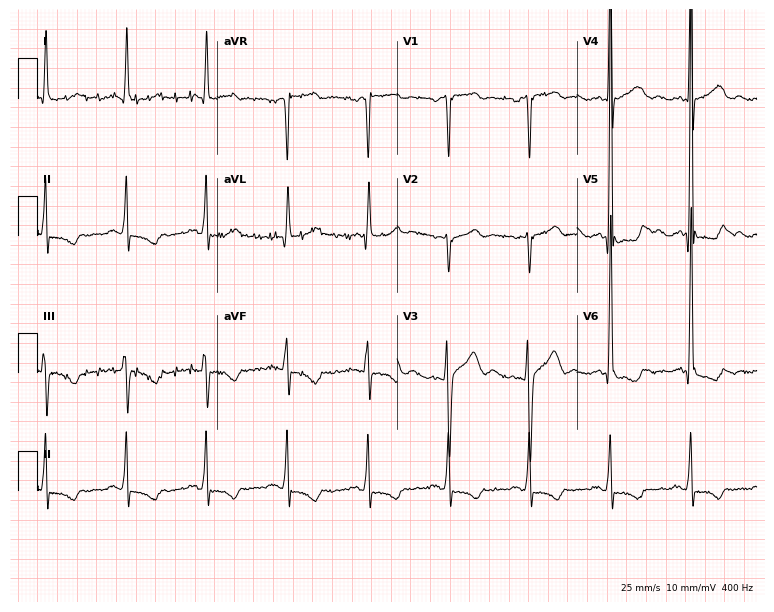
ECG — a male patient, 54 years old. Screened for six findings — first-degree AV block, right bundle branch block, left bundle branch block, sinus bradycardia, atrial fibrillation, sinus tachycardia — none is recorded. Only these six findings were labelled.